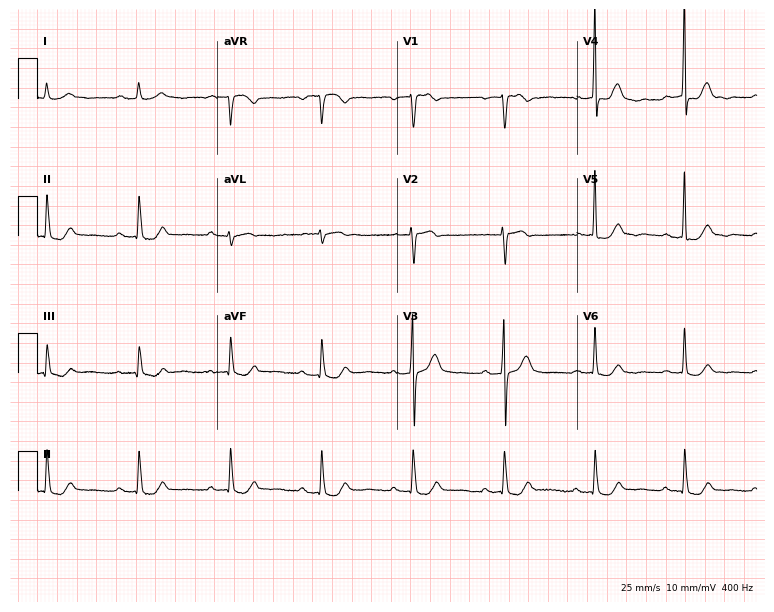
Electrocardiogram, an 84-year-old female. Overall reading on record: normal ECG.